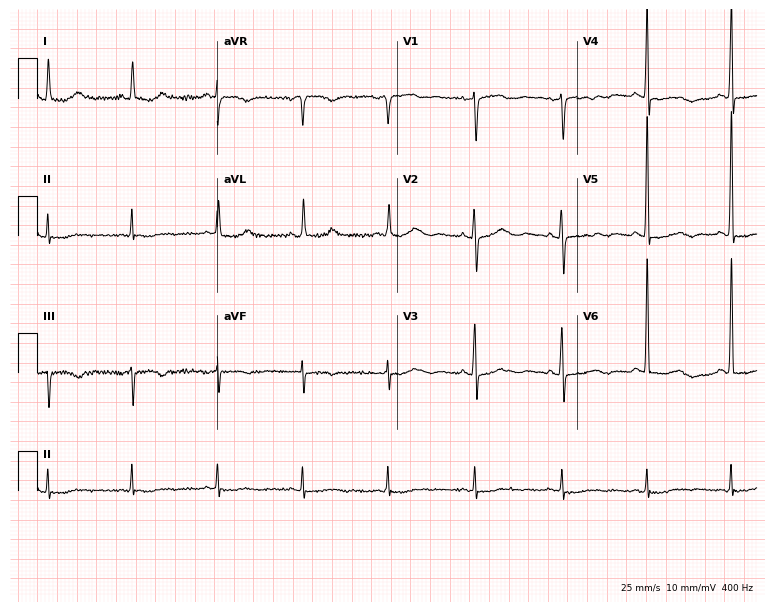
12-lead ECG (7.3-second recording at 400 Hz) from an 83-year-old woman. Screened for six findings — first-degree AV block, right bundle branch block, left bundle branch block, sinus bradycardia, atrial fibrillation, sinus tachycardia — none is recorded. Findings outside these six are not listed.